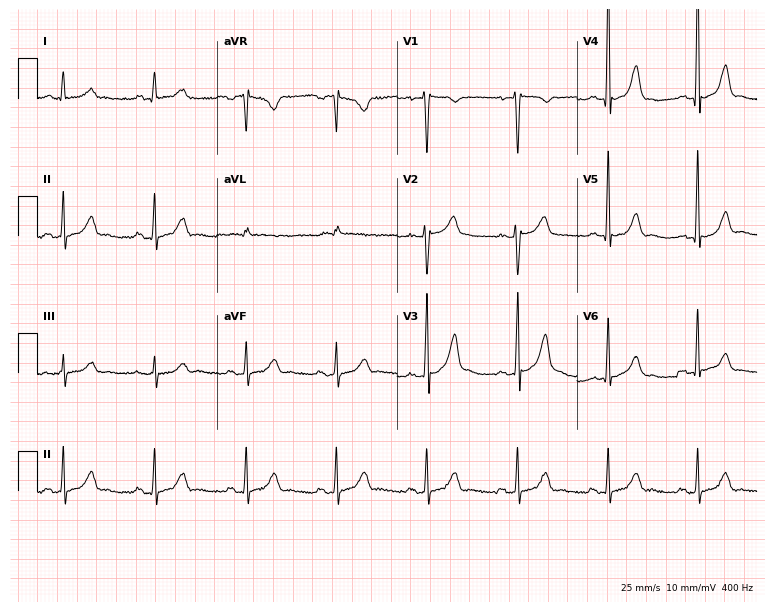
12-lead ECG from a man, 53 years old. No first-degree AV block, right bundle branch block, left bundle branch block, sinus bradycardia, atrial fibrillation or sinus tachycardia recorded for this tracing. Findings outside these six are not listed.